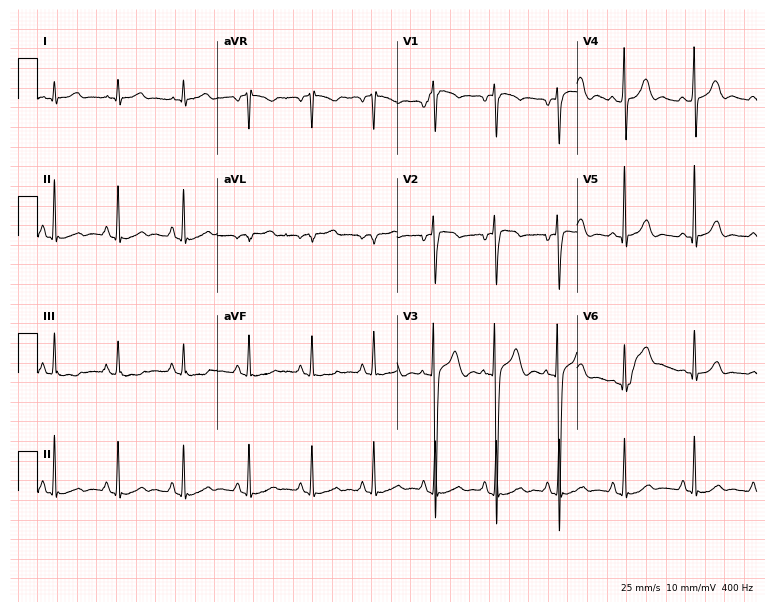
Resting 12-lead electrocardiogram. Patient: a male, 17 years old. None of these six findings is recorded: first-degree AV block, right bundle branch block, left bundle branch block, sinus bradycardia, atrial fibrillation, sinus tachycardia.